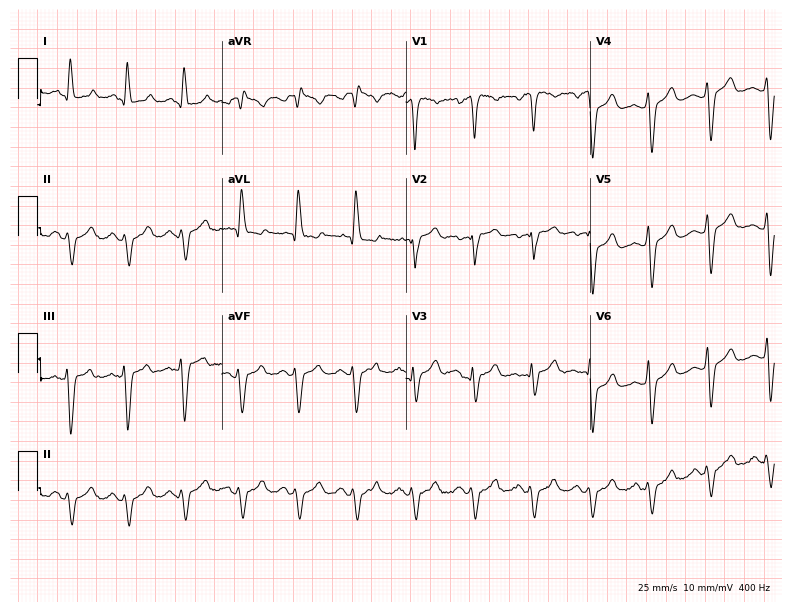
12-lead ECG from a 63-year-old male patient. Findings include left bundle branch block (LBBB).